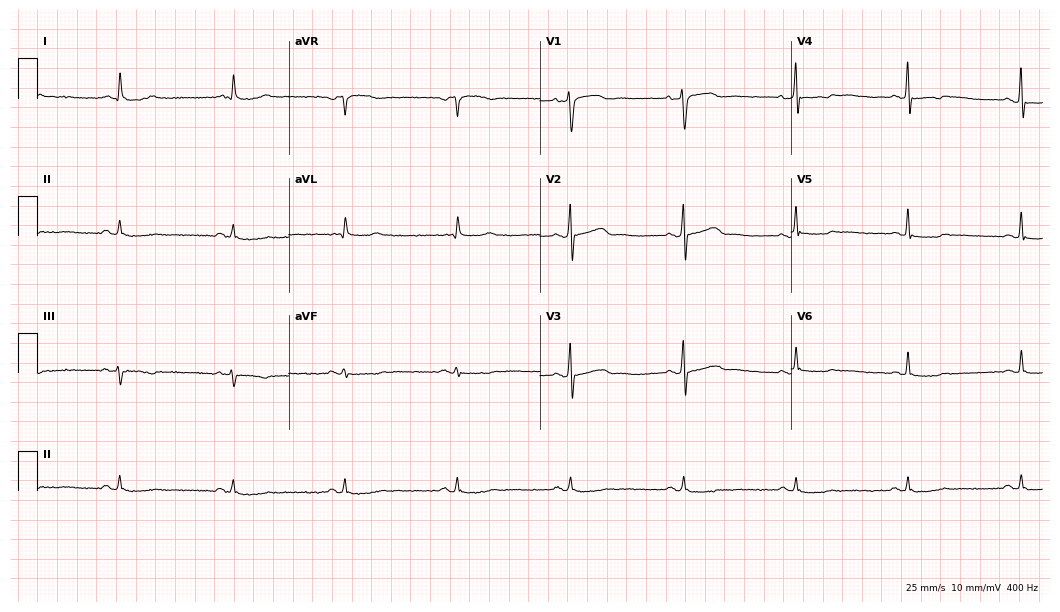
Standard 12-lead ECG recorded from a male, 54 years old (10.2-second recording at 400 Hz). None of these six findings is recorded: first-degree AV block, right bundle branch block, left bundle branch block, sinus bradycardia, atrial fibrillation, sinus tachycardia. Findings outside these six are not listed.